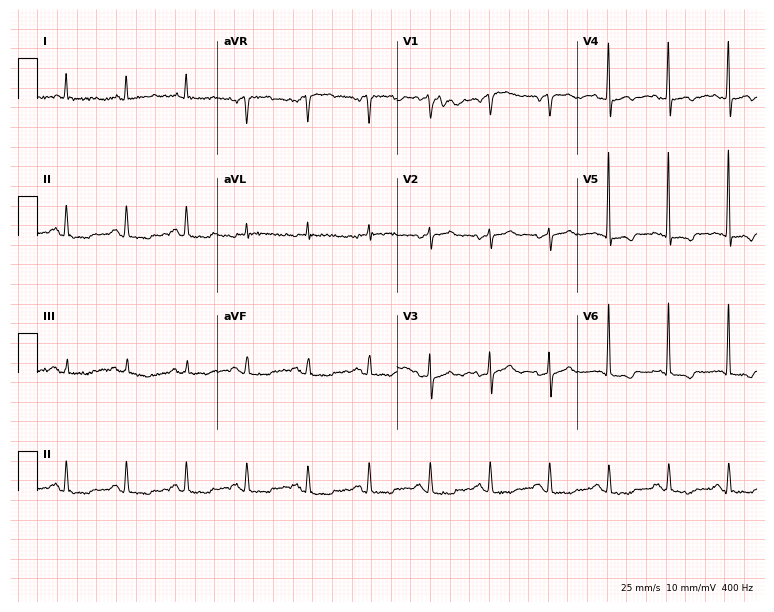
12-lead ECG from an 82-year-old male. No first-degree AV block, right bundle branch block (RBBB), left bundle branch block (LBBB), sinus bradycardia, atrial fibrillation (AF) or sinus tachycardia recorded for this tracing. Other findings, if any, are not listed.